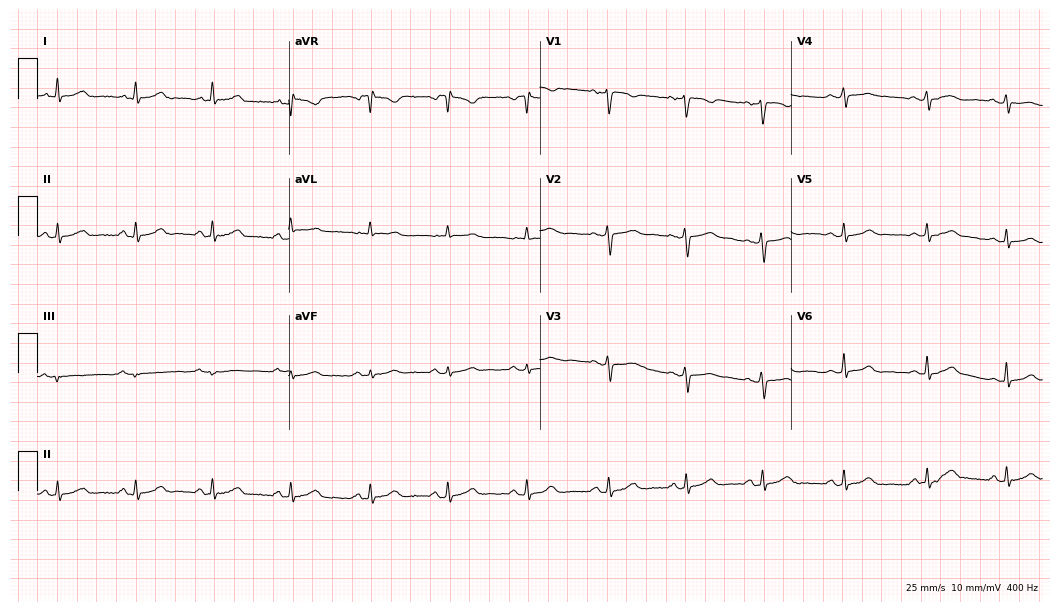
Standard 12-lead ECG recorded from a 43-year-old female. Read as a normal ECG.